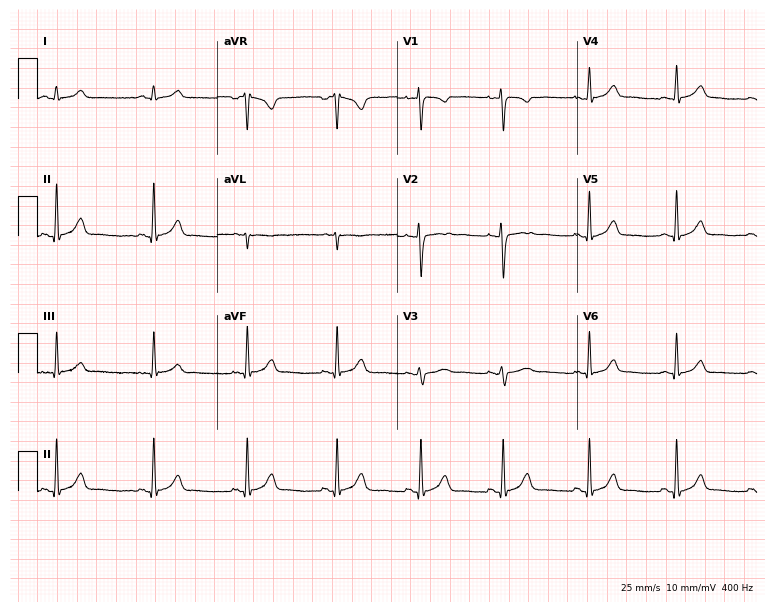
Resting 12-lead electrocardiogram. Patient: a female, 24 years old. Read as a normal ECG.